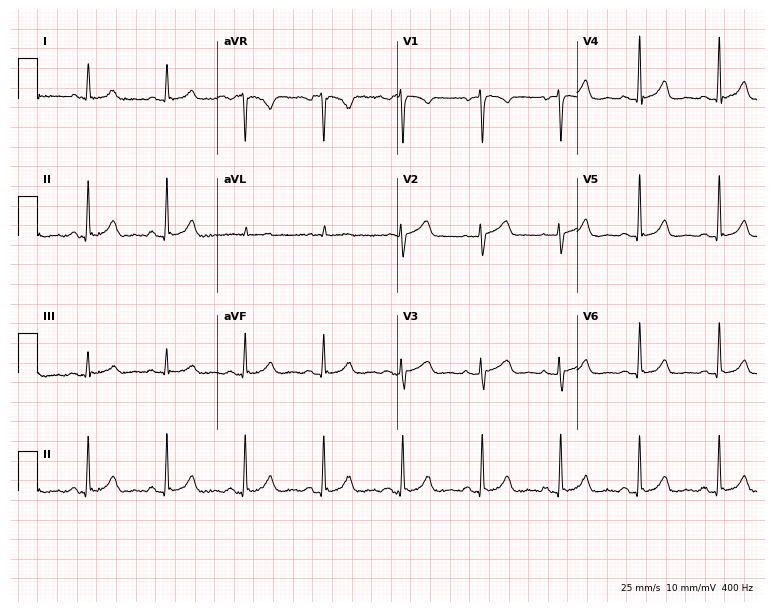
Resting 12-lead electrocardiogram (7.3-second recording at 400 Hz). Patient: a female, 52 years old. Read as a normal ECG.